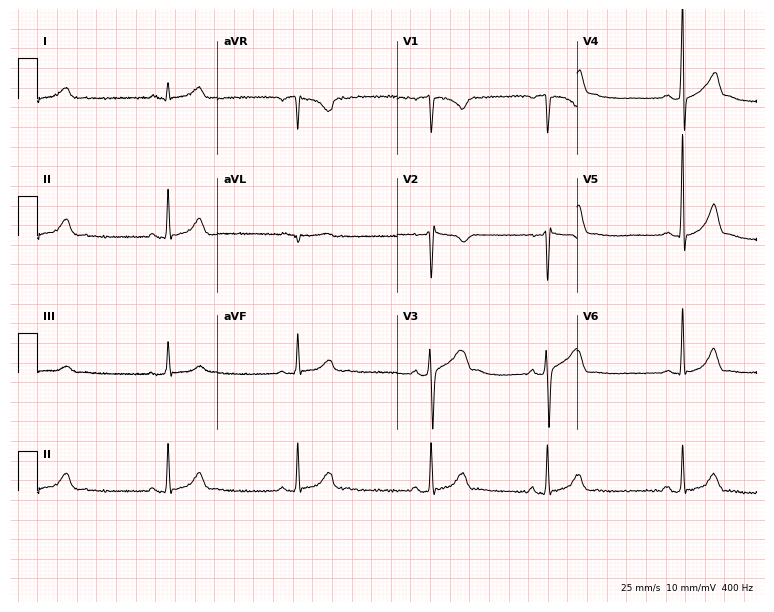
Electrocardiogram (7.3-second recording at 400 Hz), a 22-year-old man. Interpretation includes sinus bradycardia (a sinus rate of 50 beats per minute or less).